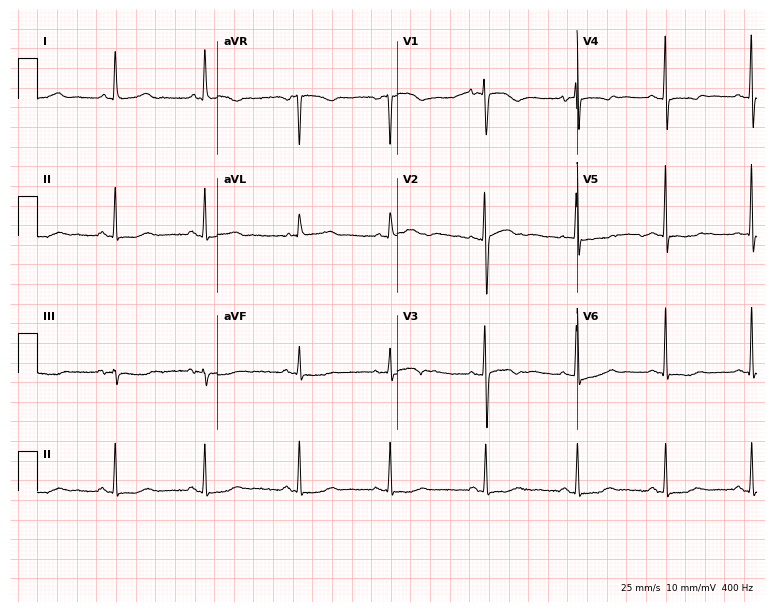
ECG — a female patient, 73 years old. Screened for six findings — first-degree AV block, right bundle branch block, left bundle branch block, sinus bradycardia, atrial fibrillation, sinus tachycardia — none is recorded.